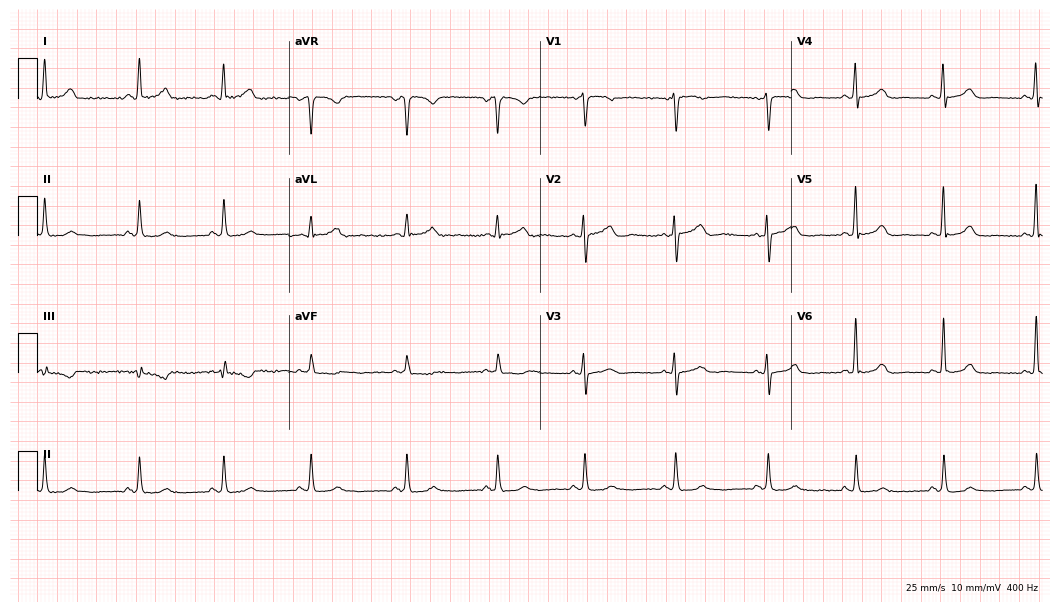
Resting 12-lead electrocardiogram. Patient: a woman, 67 years old. None of these six findings is recorded: first-degree AV block, right bundle branch block, left bundle branch block, sinus bradycardia, atrial fibrillation, sinus tachycardia.